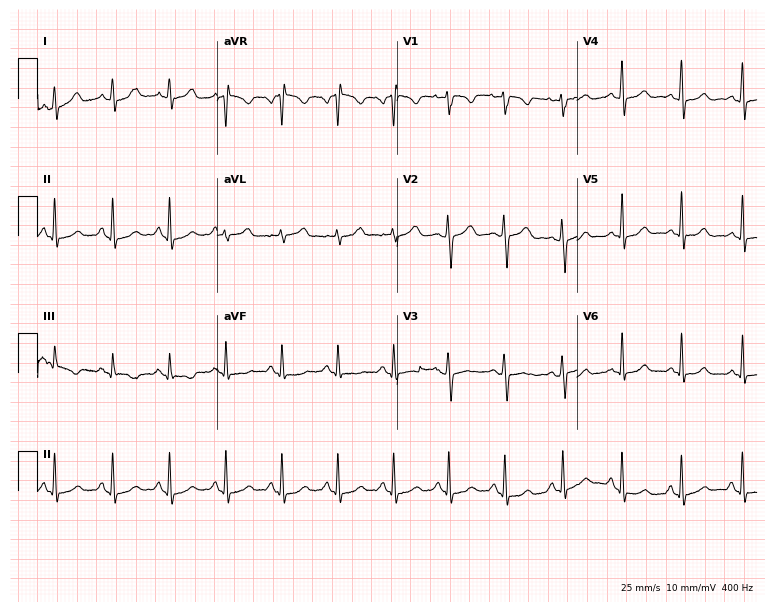
12-lead ECG from a 31-year-old female patient. No first-degree AV block, right bundle branch block (RBBB), left bundle branch block (LBBB), sinus bradycardia, atrial fibrillation (AF) or sinus tachycardia recorded for this tracing. Only these six findings were labelled.